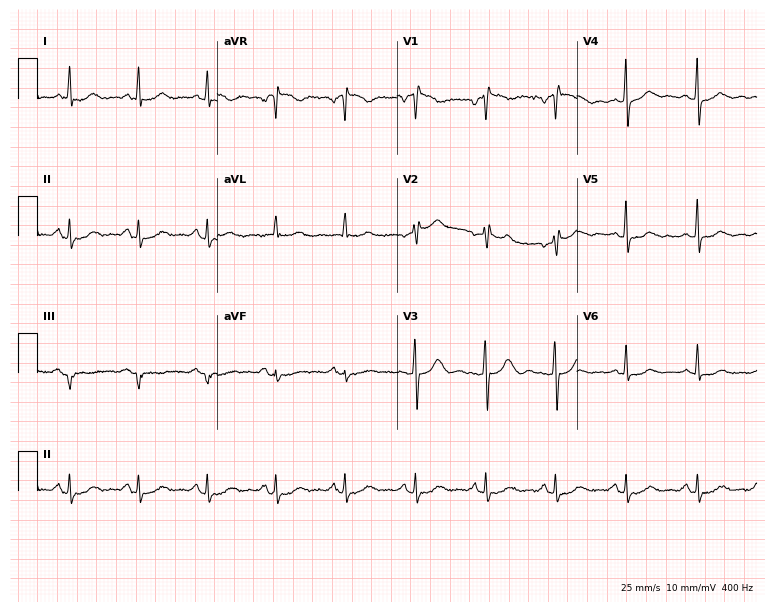
Standard 12-lead ECG recorded from a female patient, 61 years old (7.3-second recording at 400 Hz). None of these six findings is recorded: first-degree AV block, right bundle branch block (RBBB), left bundle branch block (LBBB), sinus bradycardia, atrial fibrillation (AF), sinus tachycardia. Other findings, if any, are not listed.